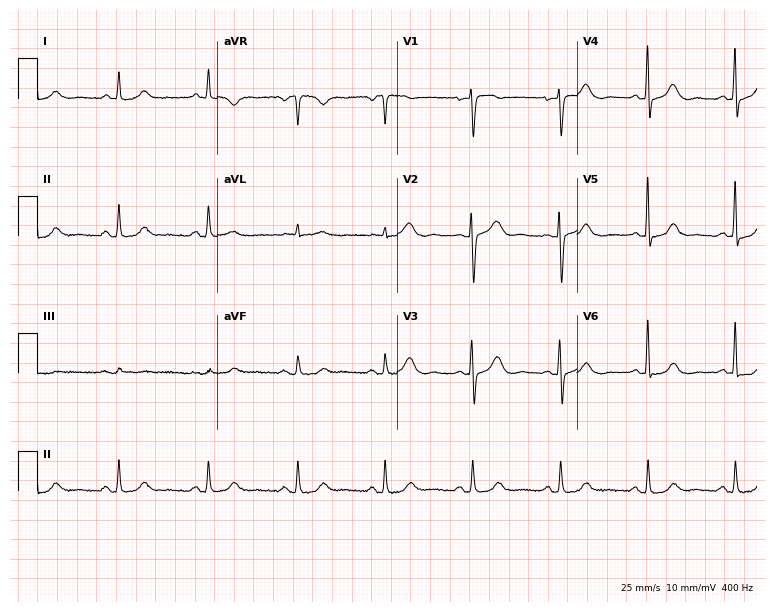
12-lead ECG (7.3-second recording at 400 Hz) from a woman, 67 years old. Labelled as a normal ECG.